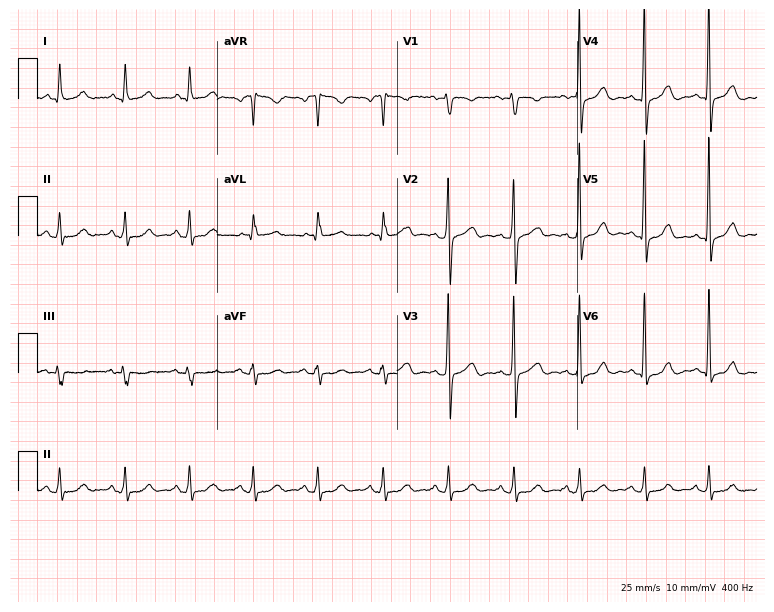
Standard 12-lead ECG recorded from a 62-year-old man. Read as a normal ECG.